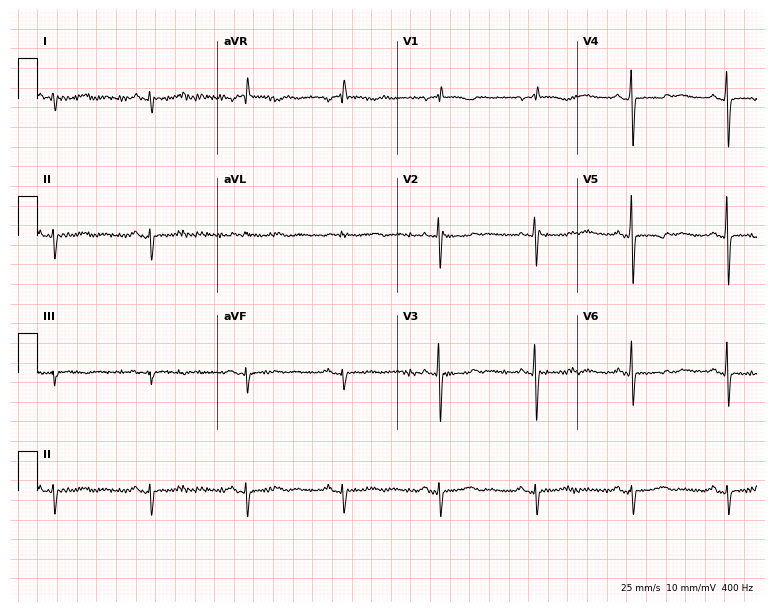
12-lead ECG from a woman, 74 years old. No first-degree AV block, right bundle branch block, left bundle branch block, sinus bradycardia, atrial fibrillation or sinus tachycardia recorded for this tracing. Findings outside these six are not listed.